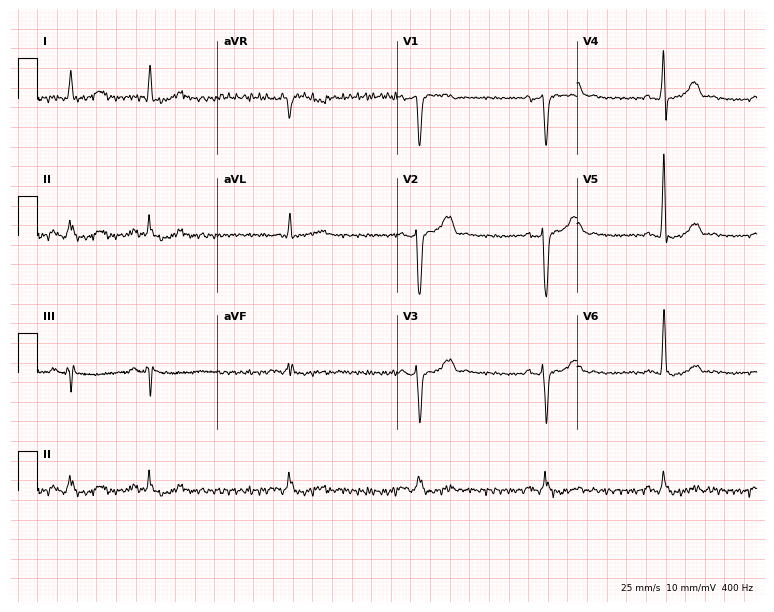
Electrocardiogram (7.3-second recording at 400 Hz), a 67-year-old male patient. Interpretation includes sinus bradycardia (a sinus rate of 50 beats per minute or less).